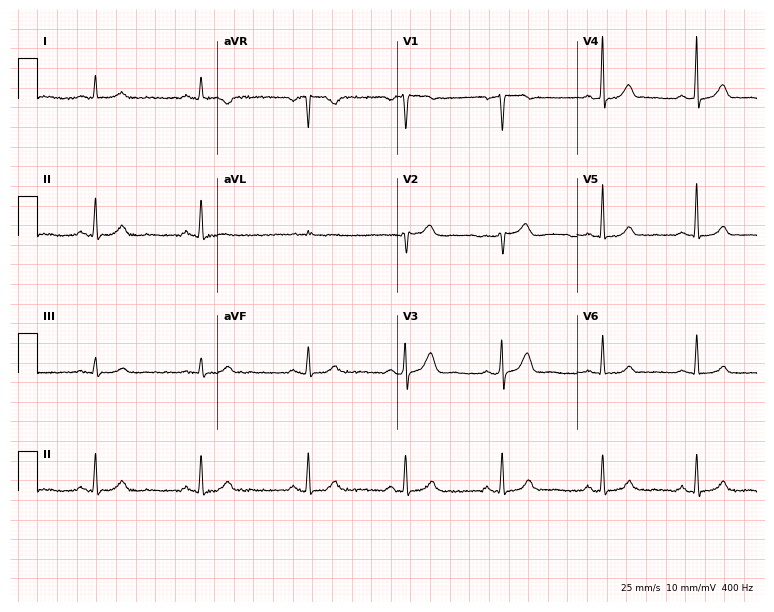
12-lead ECG from a male, 62 years old. Recorded interpretation: within normal limits.